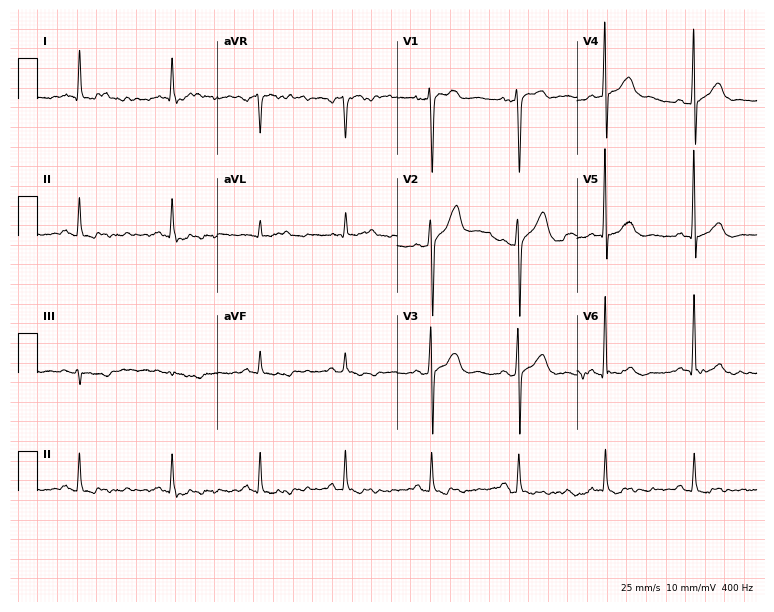
Standard 12-lead ECG recorded from a 55-year-old man. Read as a normal ECG.